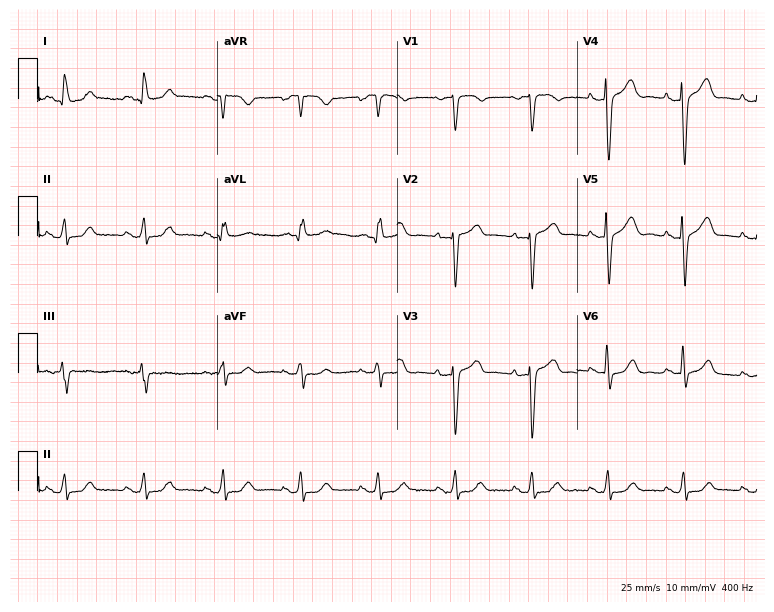
Resting 12-lead electrocardiogram (7.3-second recording at 400 Hz). Patient: a male, 68 years old. Read as a normal ECG.